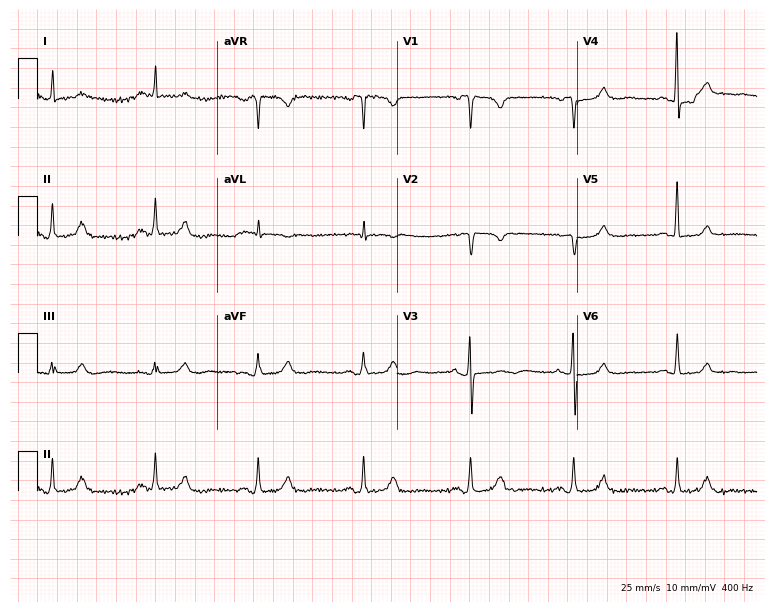
Resting 12-lead electrocardiogram (7.3-second recording at 400 Hz). Patient: a female, 76 years old. None of these six findings is recorded: first-degree AV block, right bundle branch block, left bundle branch block, sinus bradycardia, atrial fibrillation, sinus tachycardia. Findings outside these six are not listed.